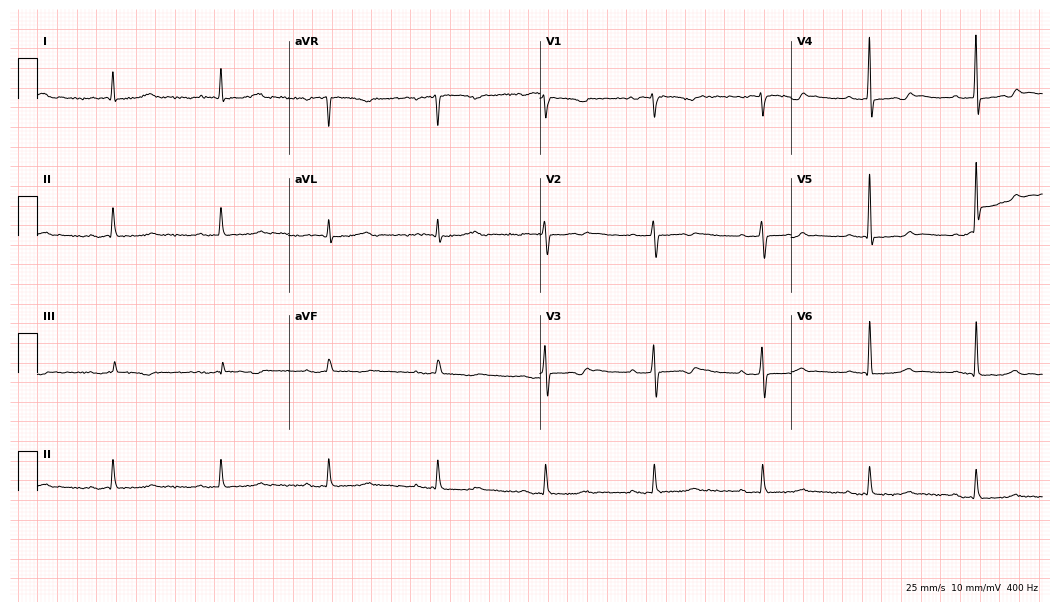
12-lead ECG (10.2-second recording at 400 Hz) from a female patient, 81 years old. Findings include first-degree AV block.